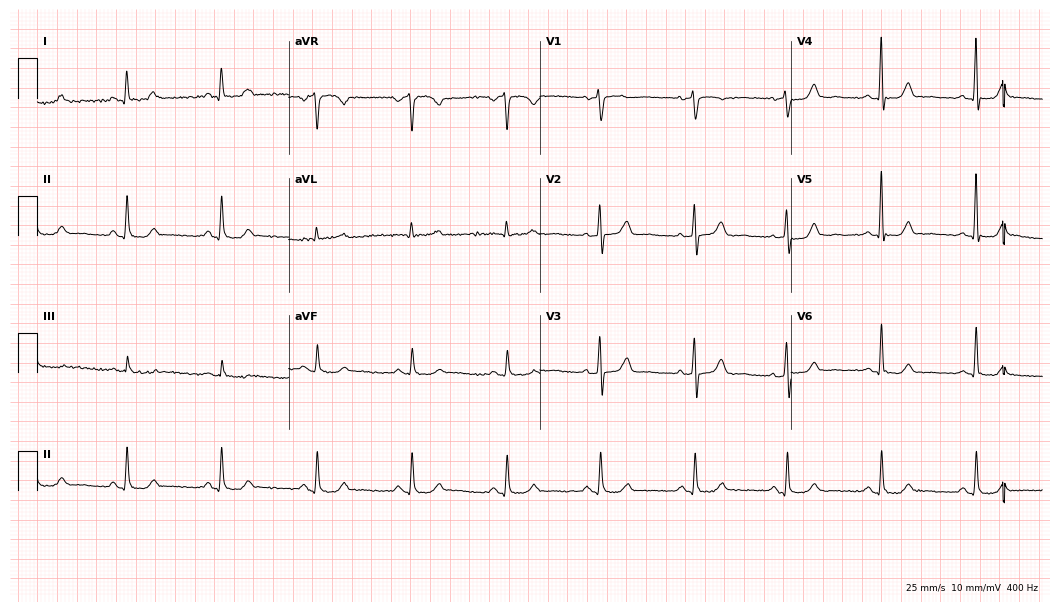
Electrocardiogram, a female patient, 54 years old. Of the six screened findings (first-degree AV block, right bundle branch block, left bundle branch block, sinus bradycardia, atrial fibrillation, sinus tachycardia), none is recorded. Other findings, if any, are not listed.